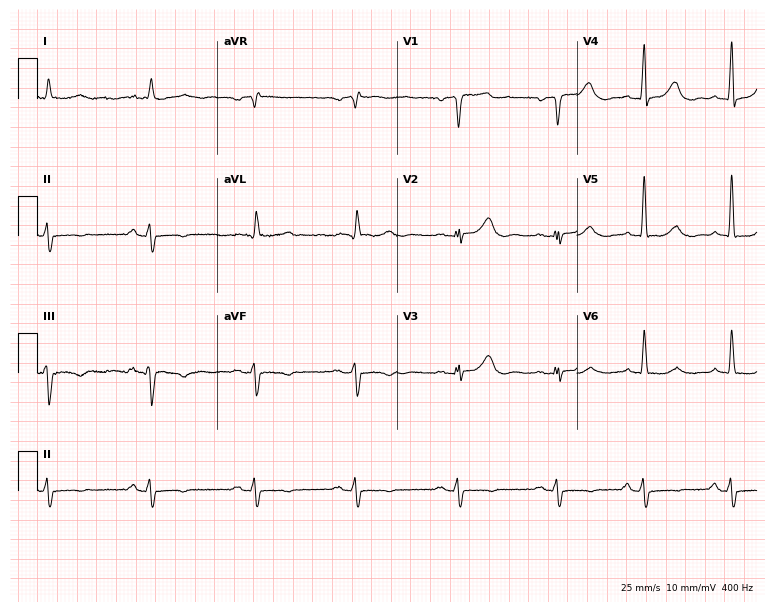
12-lead ECG (7.3-second recording at 400 Hz) from a 71-year-old man. Screened for six findings — first-degree AV block, right bundle branch block, left bundle branch block, sinus bradycardia, atrial fibrillation, sinus tachycardia — none is recorded. Only these six findings were labelled.